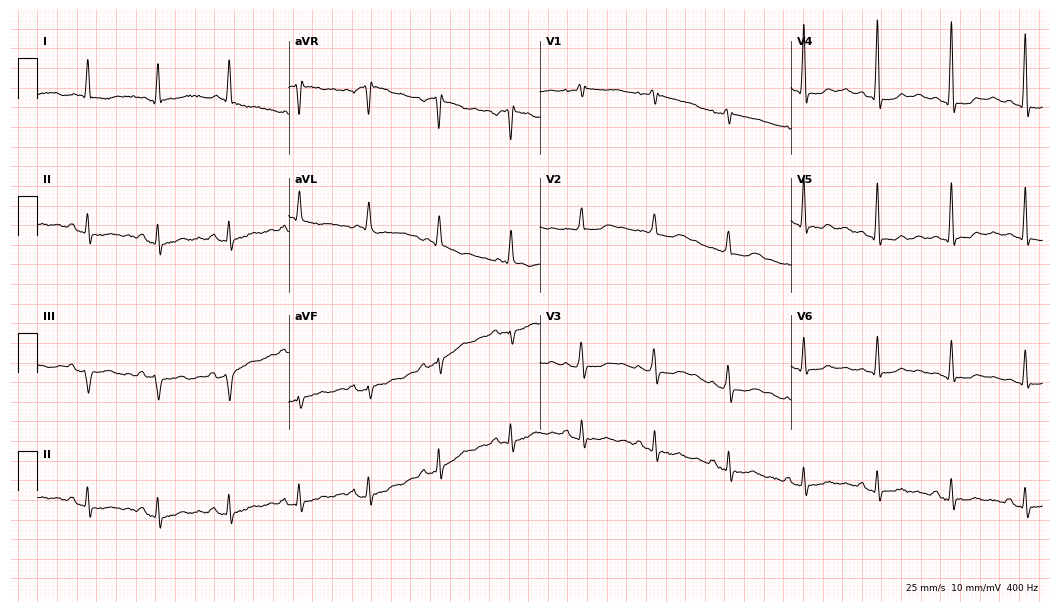
Standard 12-lead ECG recorded from a 72-year-old woman. None of these six findings is recorded: first-degree AV block, right bundle branch block, left bundle branch block, sinus bradycardia, atrial fibrillation, sinus tachycardia.